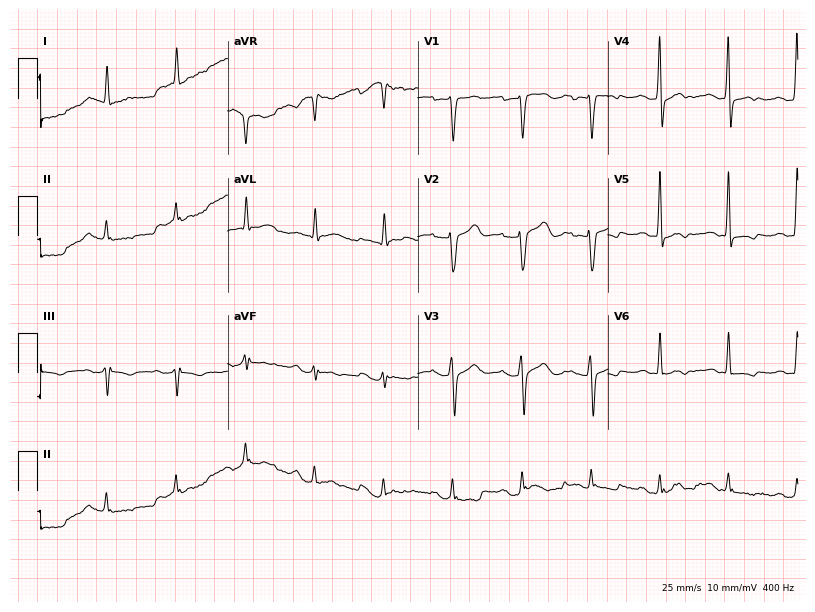
Standard 12-lead ECG recorded from an 80-year-old man (7.8-second recording at 400 Hz). None of these six findings is recorded: first-degree AV block, right bundle branch block, left bundle branch block, sinus bradycardia, atrial fibrillation, sinus tachycardia. Only these six findings were labelled.